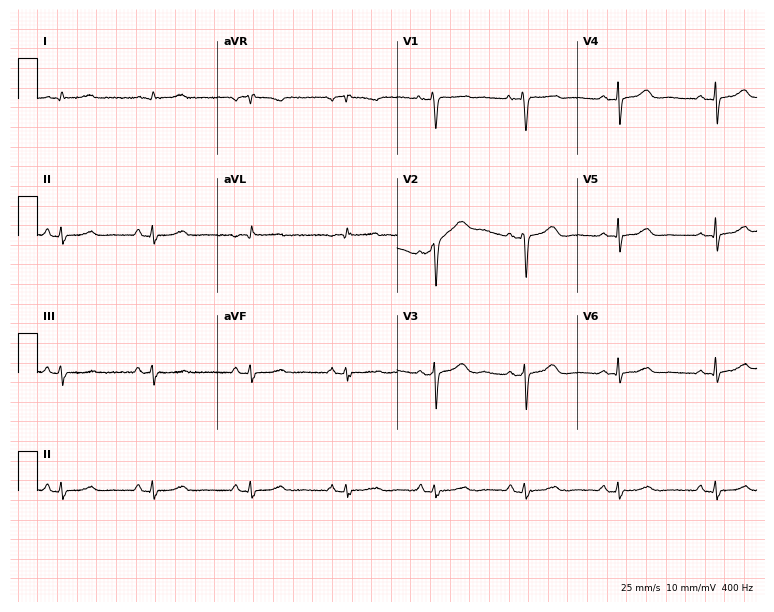
Resting 12-lead electrocardiogram (7.3-second recording at 400 Hz). Patient: a 50-year-old female. None of these six findings is recorded: first-degree AV block, right bundle branch block, left bundle branch block, sinus bradycardia, atrial fibrillation, sinus tachycardia.